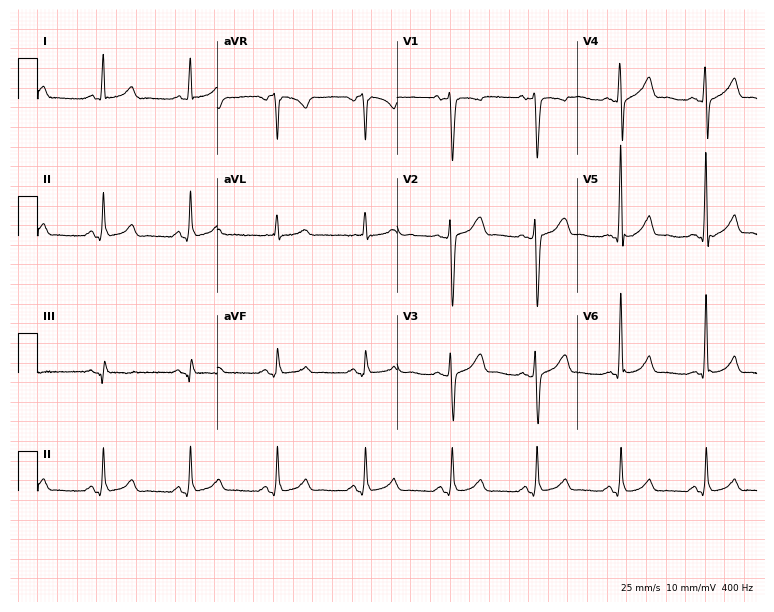
Electrocardiogram, a 48-year-old man. Overall reading on record: normal ECG.